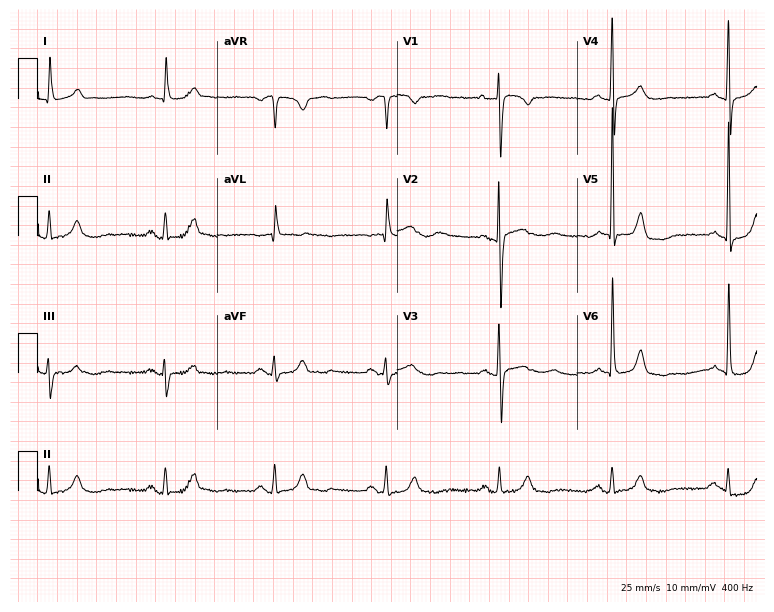
ECG (7.3-second recording at 400 Hz) — a 77-year-old woman. Labelled as a normal ECG.